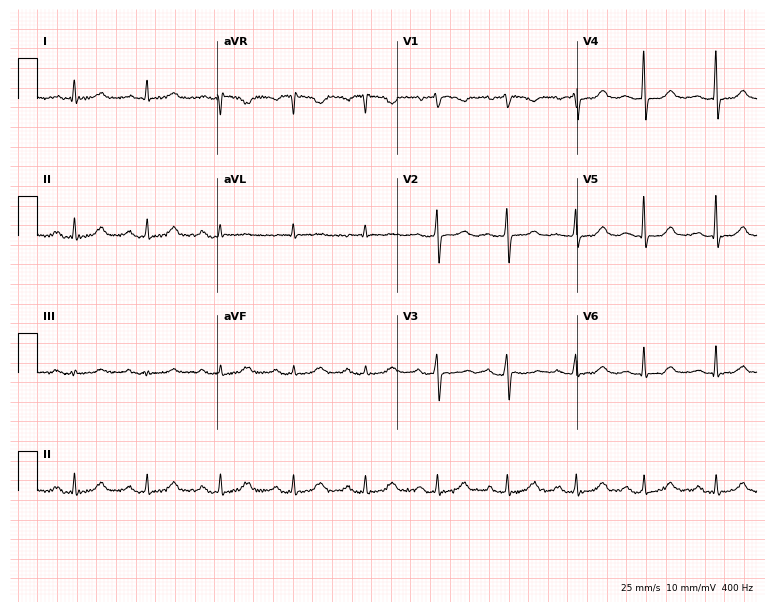
12-lead ECG from a 70-year-old female. Recorded interpretation: within normal limits.